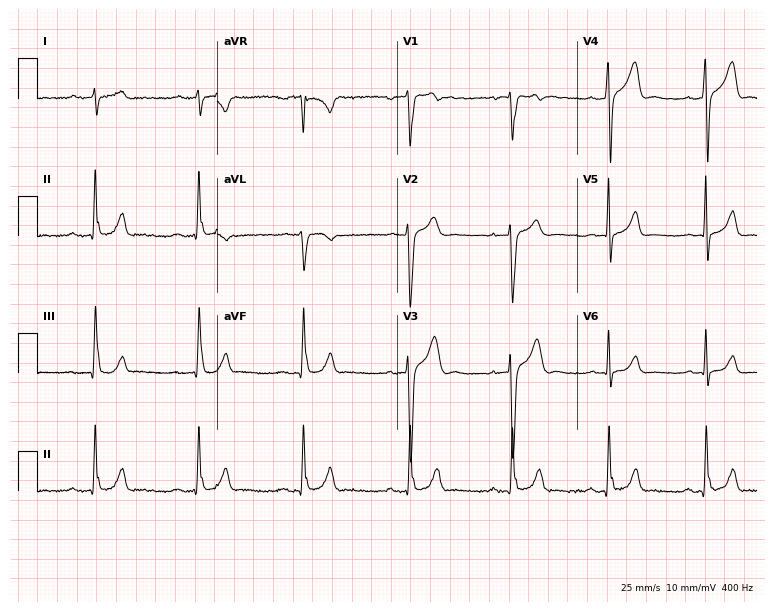
12-lead ECG from a man, 30 years old. Labelled as a normal ECG.